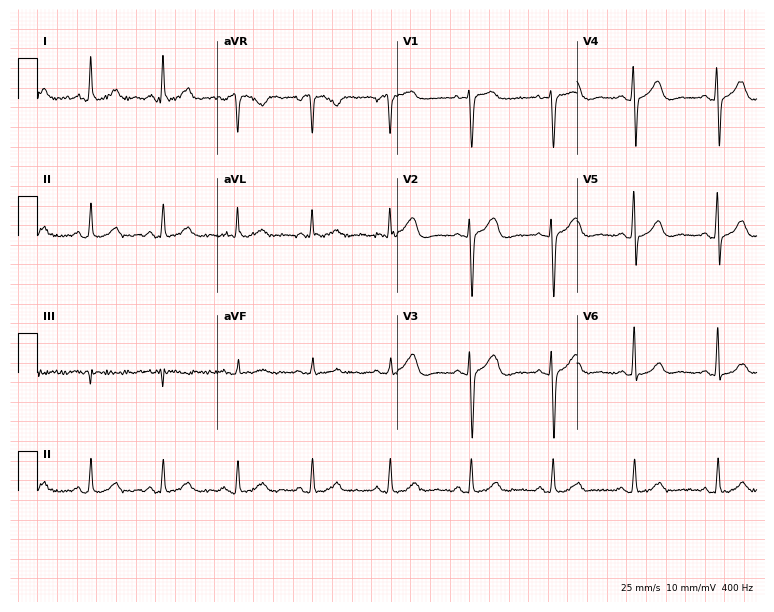
ECG (7.3-second recording at 400 Hz) — a 58-year-old woman. Labelled as a normal ECG.